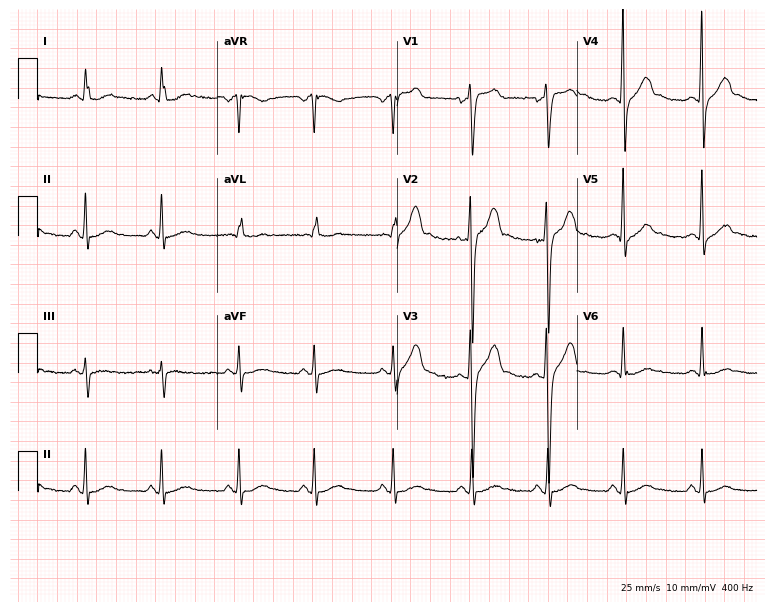
ECG — a male patient, 39 years old. Labelled as a normal ECG.